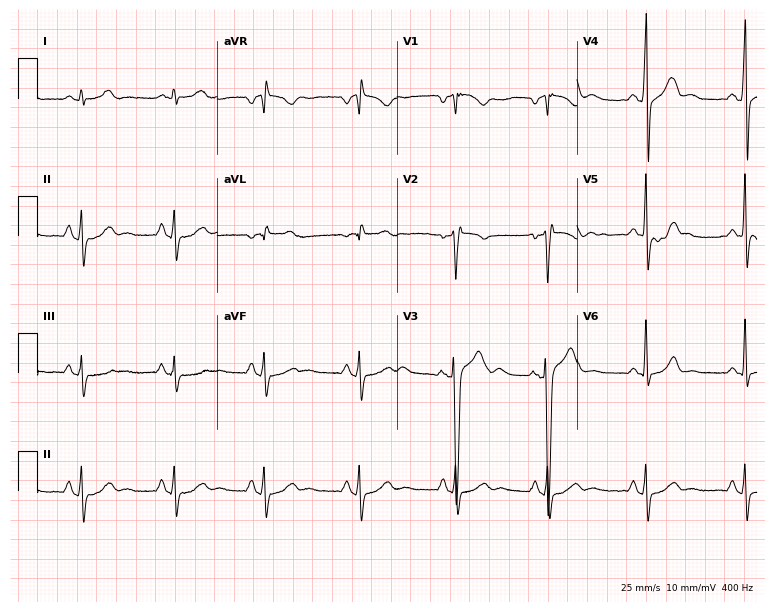
Electrocardiogram (7.3-second recording at 400 Hz), a man, 35 years old. Of the six screened findings (first-degree AV block, right bundle branch block (RBBB), left bundle branch block (LBBB), sinus bradycardia, atrial fibrillation (AF), sinus tachycardia), none is recorded. Only these six findings were labelled.